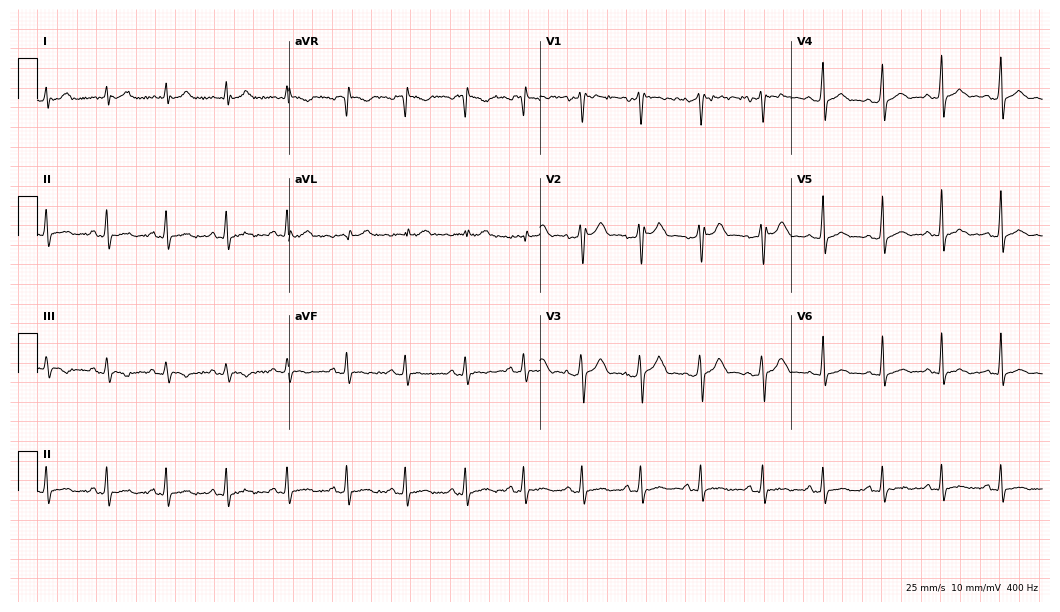
12-lead ECG from a man, 23 years old. Labelled as a normal ECG.